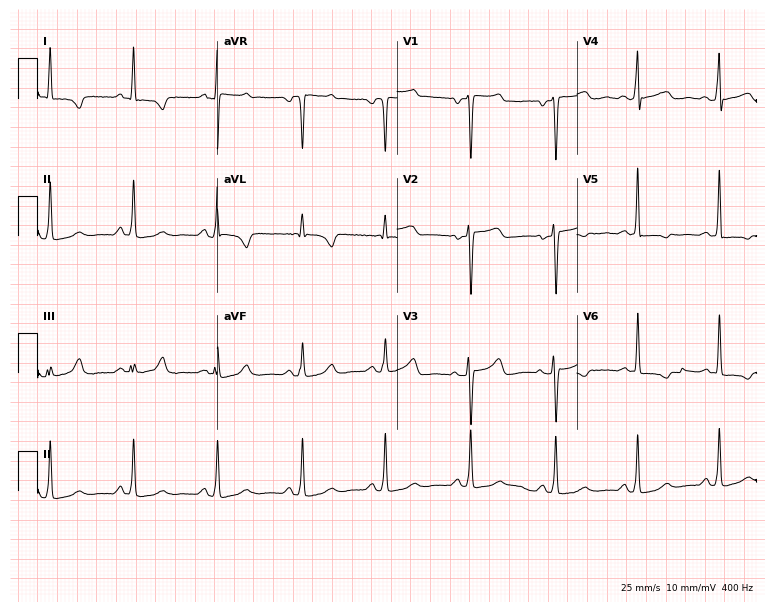
ECG (7.3-second recording at 400 Hz) — a woman, 45 years old. Screened for six findings — first-degree AV block, right bundle branch block, left bundle branch block, sinus bradycardia, atrial fibrillation, sinus tachycardia — none is recorded.